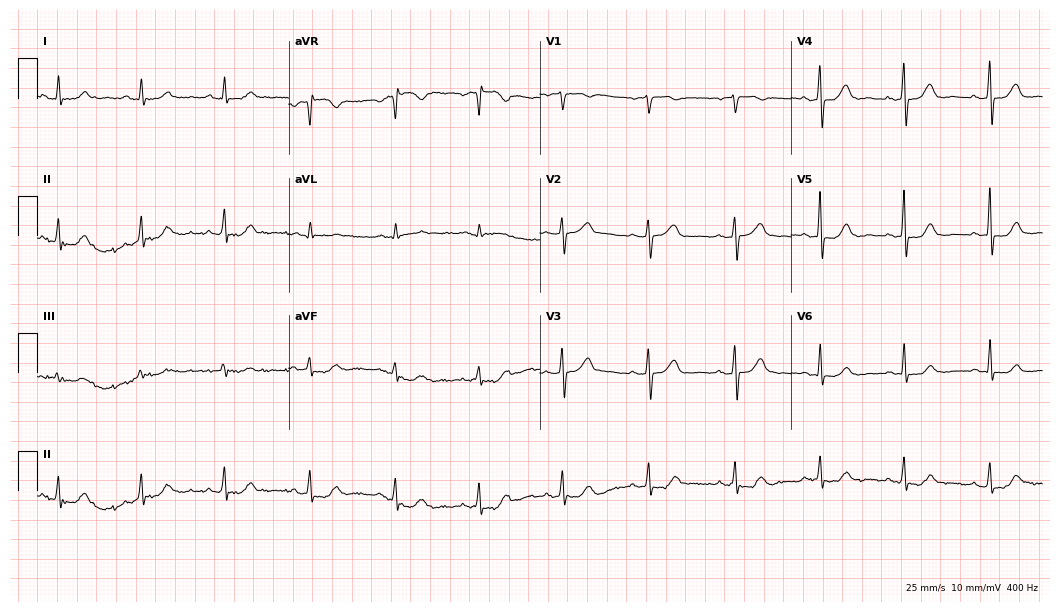
Resting 12-lead electrocardiogram (10.2-second recording at 400 Hz). Patient: a 59-year-old female. Read as a normal ECG.